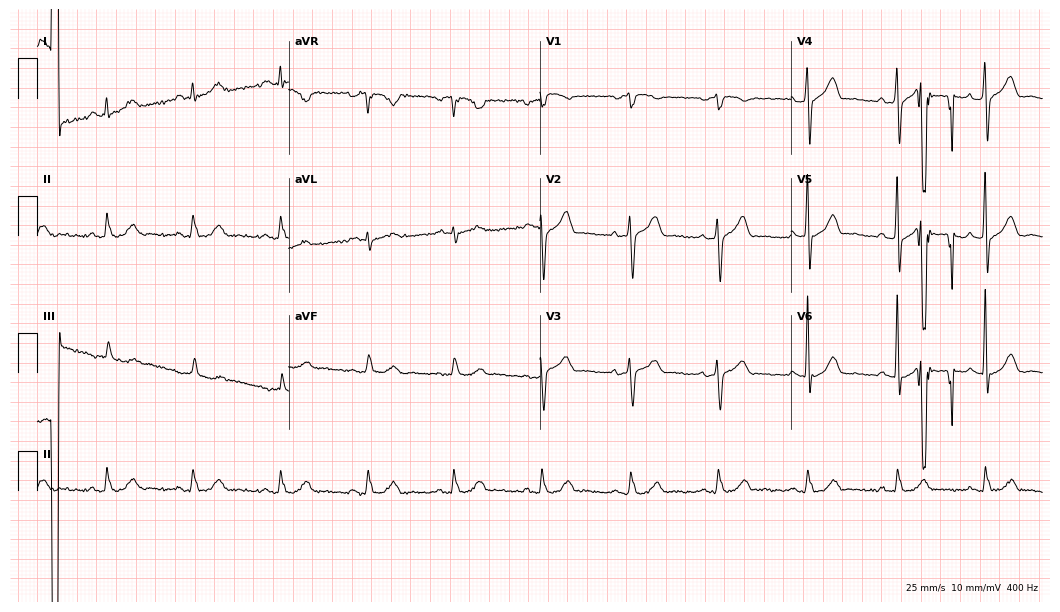
Standard 12-lead ECG recorded from a man, 59 years old. None of these six findings is recorded: first-degree AV block, right bundle branch block, left bundle branch block, sinus bradycardia, atrial fibrillation, sinus tachycardia.